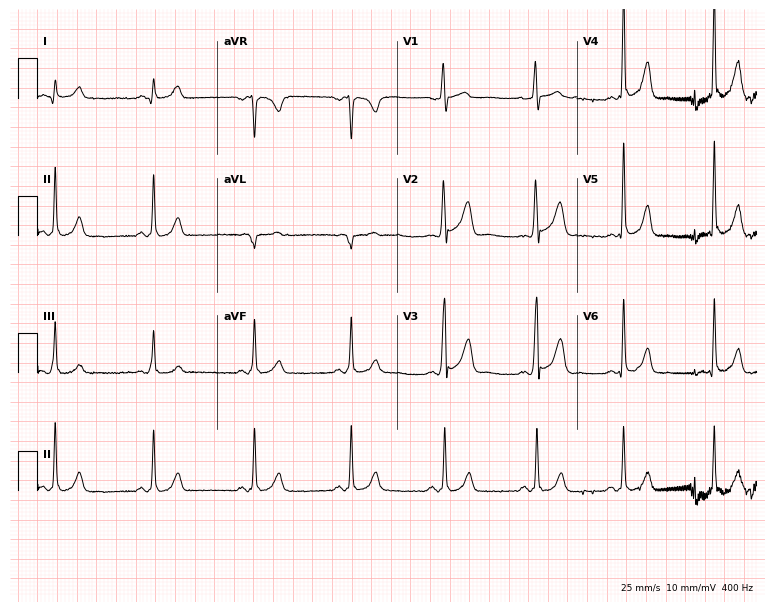
Electrocardiogram, a male, 30 years old. Of the six screened findings (first-degree AV block, right bundle branch block (RBBB), left bundle branch block (LBBB), sinus bradycardia, atrial fibrillation (AF), sinus tachycardia), none is recorded. Other findings, if any, are not listed.